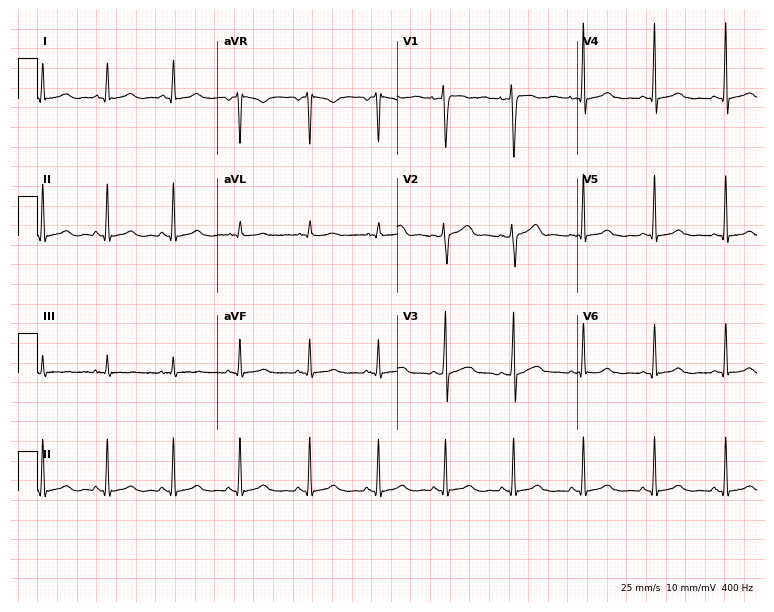
Resting 12-lead electrocardiogram. Patient: a 30-year-old female. Read as a normal ECG.